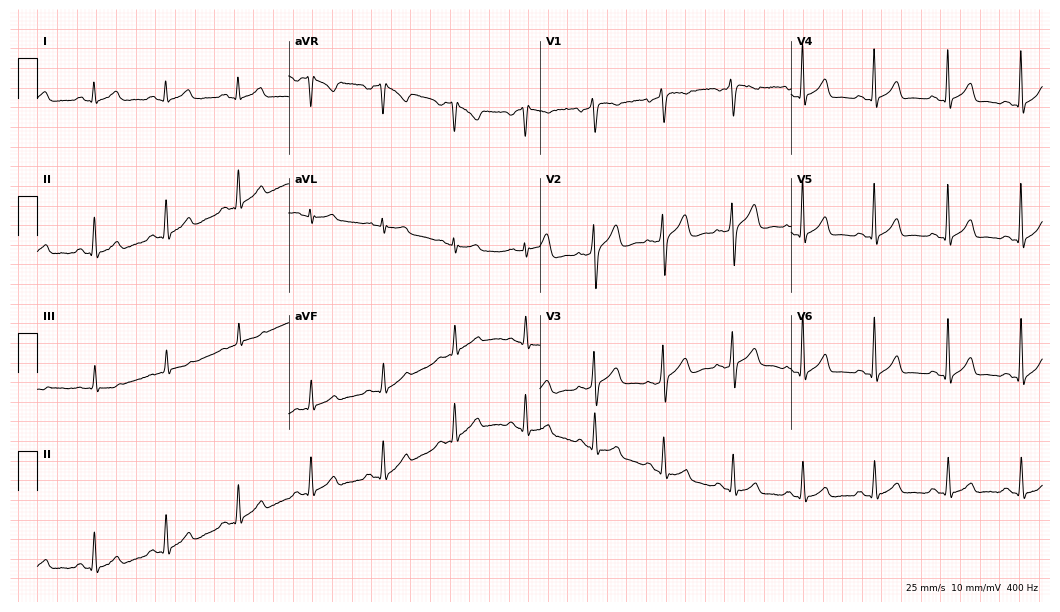
12-lead ECG from a 36-year-old male. Labelled as a normal ECG.